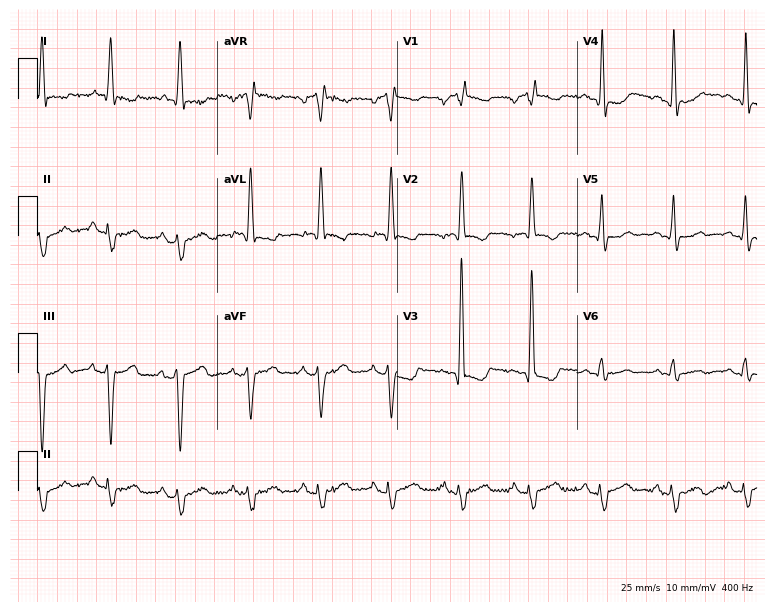
Standard 12-lead ECG recorded from a man, 76 years old (7.3-second recording at 400 Hz). The tracing shows right bundle branch block.